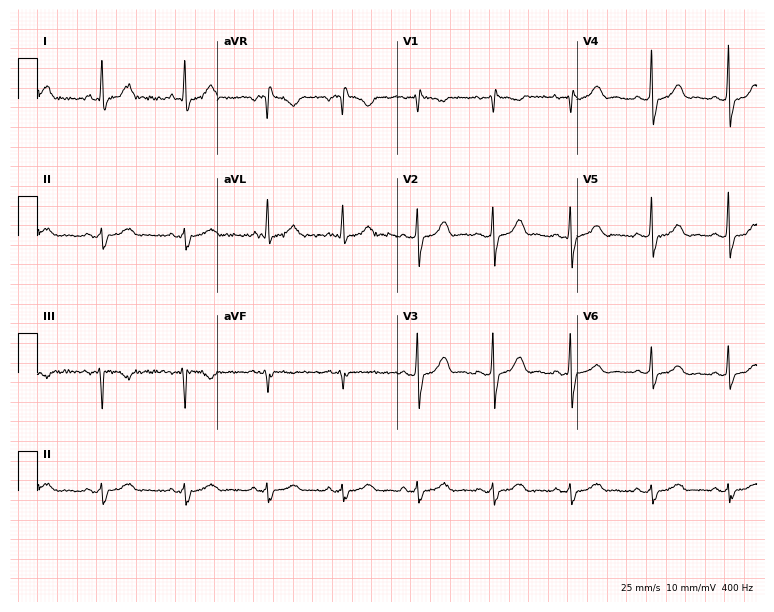
Electrocardiogram (7.3-second recording at 400 Hz), a 41-year-old woman. Of the six screened findings (first-degree AV block, right bundle branch block (RBBB), left bundle branch block (LBBB), sinus bradycardia, atrial fibrillation (AF), sinus tachycardia), none is recorded. Only these six findings were labelled.